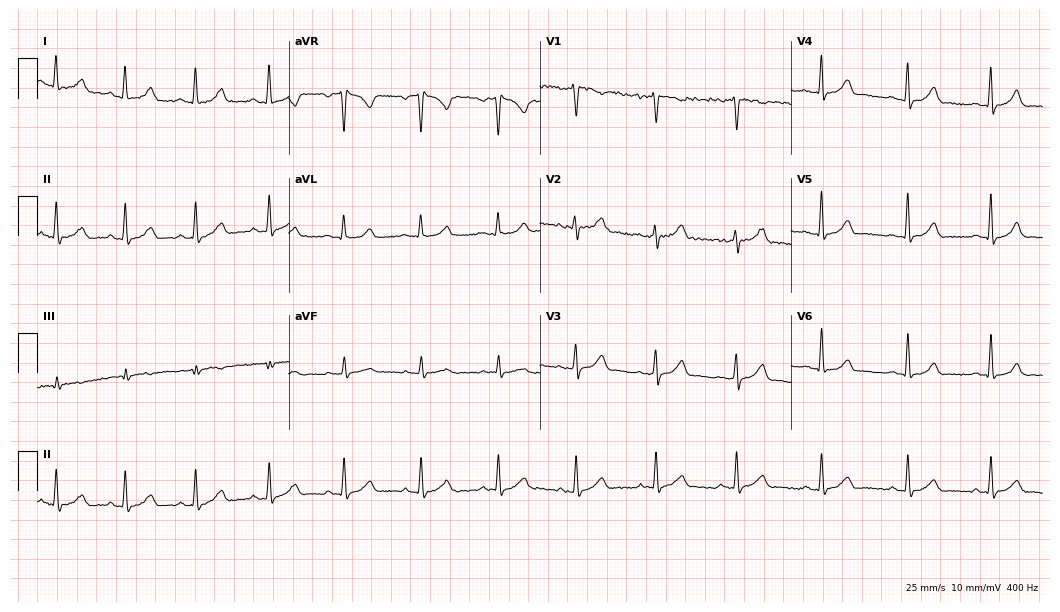
Resting 12-lead electrocardiogram (10.2-second recording at 400 Hz). Patient: a female, 31 years old. Read as a normal ECG.